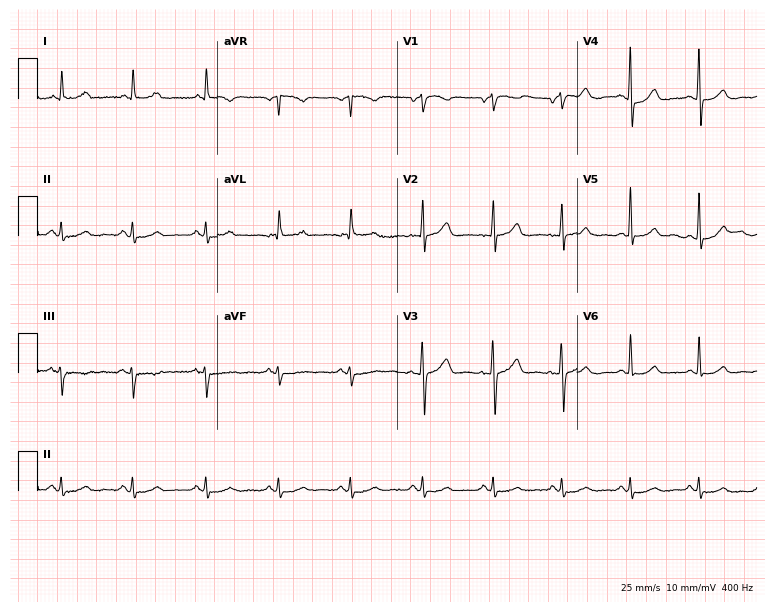
12-lead ECG from a 73-year-old male patient (7.3-second recording at 400 Hz). No first-degree AV block, right bundle branch block, left bundle branch block, sinus bradycardia, atrial fibrillation or sinus tachycardia recorded for this tracing.